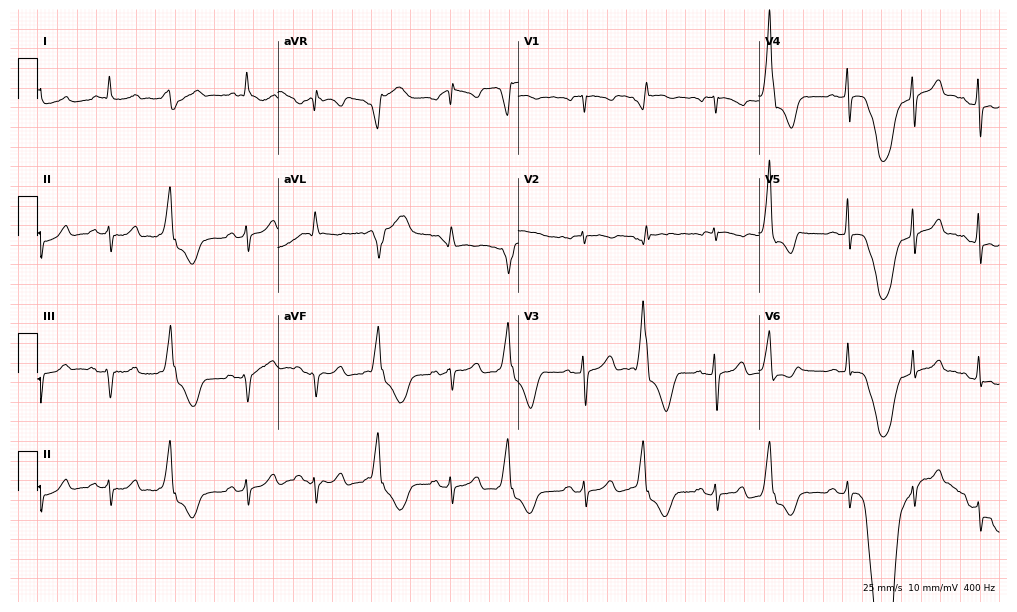
Standard 12-lead ECG recorded from a 78-year-old female patient (9.8-second recording at 400 Hz). None of these six findings is recorded: first-degree AV block, right bundle branch block, left bundle branch block, sinus bradycardia, atrial fibrillation, sinus tachycardia. Findings outside these six are not listed.